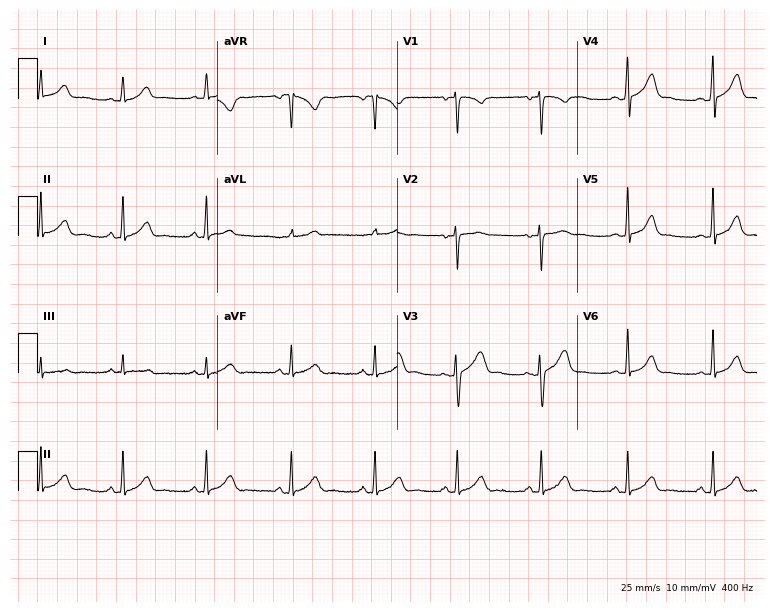
Standard 12-lead ECG recorded from a woman, 32 years old (7.3-second recording at 400 Hz). Read as a normal ECG.